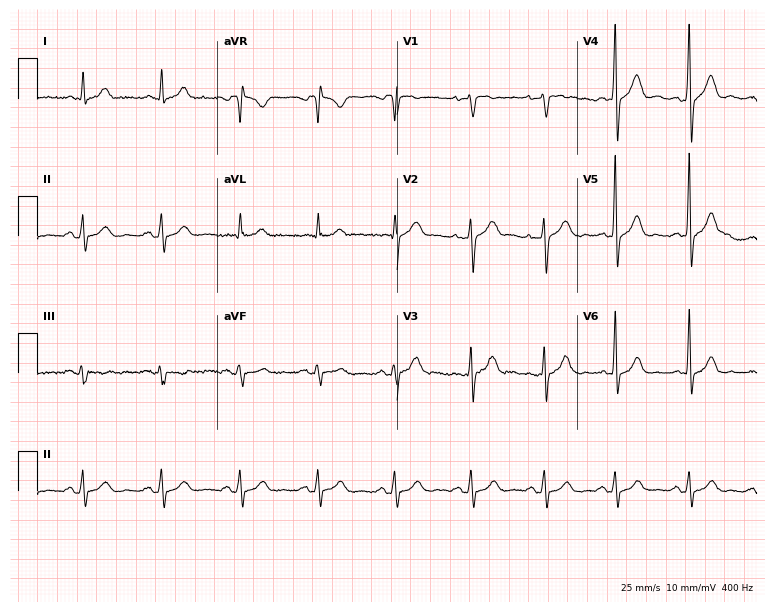
Electrocardiogram (7.3-second recording at 400 Hz), a 54-year-old man. Of the six screened findings (first-degree AV block, right bundle branch block, left bundle branch block, sinus bradycardia, atrial fibrillation, sinus tachycardia), none is recorded. Other findings, if any, are not listed.